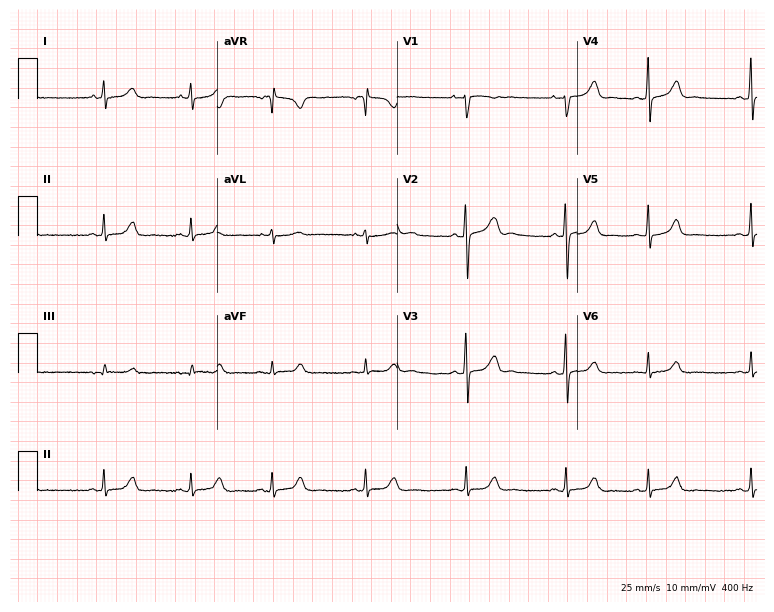
Standard 12-lead ECG recorded from a woman, 21 years old (7.3-second recording at 400 Hz). Read as a normal ECG.